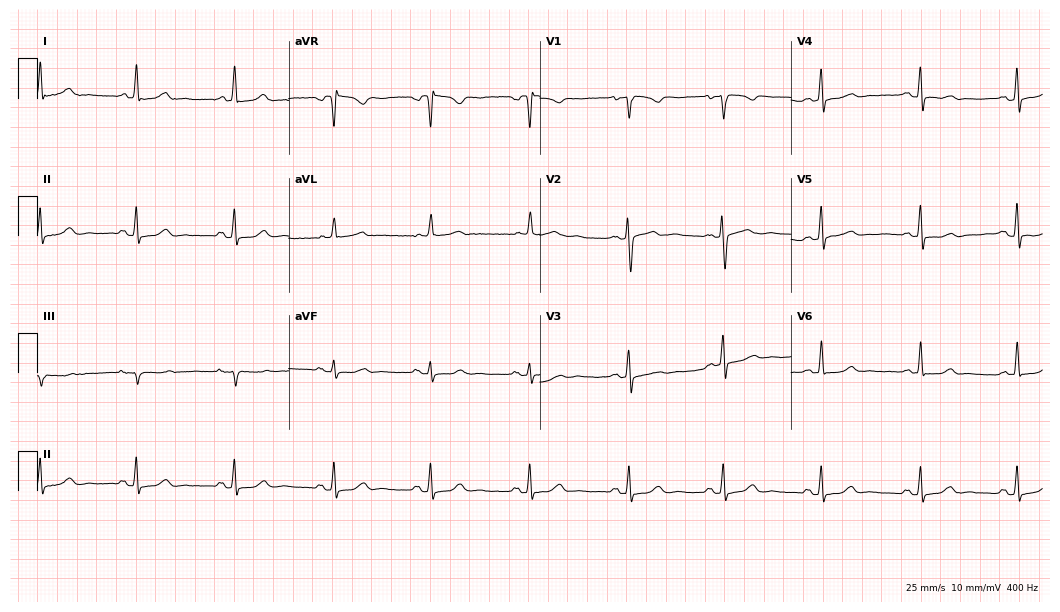
ECG (10.2-second recording at 400 Hz) — a 46-year-old woman. Screened for six findings — first-degree AV block, right bundle branch block, left bundle branch block, sinus bradycardia, atrial fibrillation, sinus tachycardia — none is recorded.